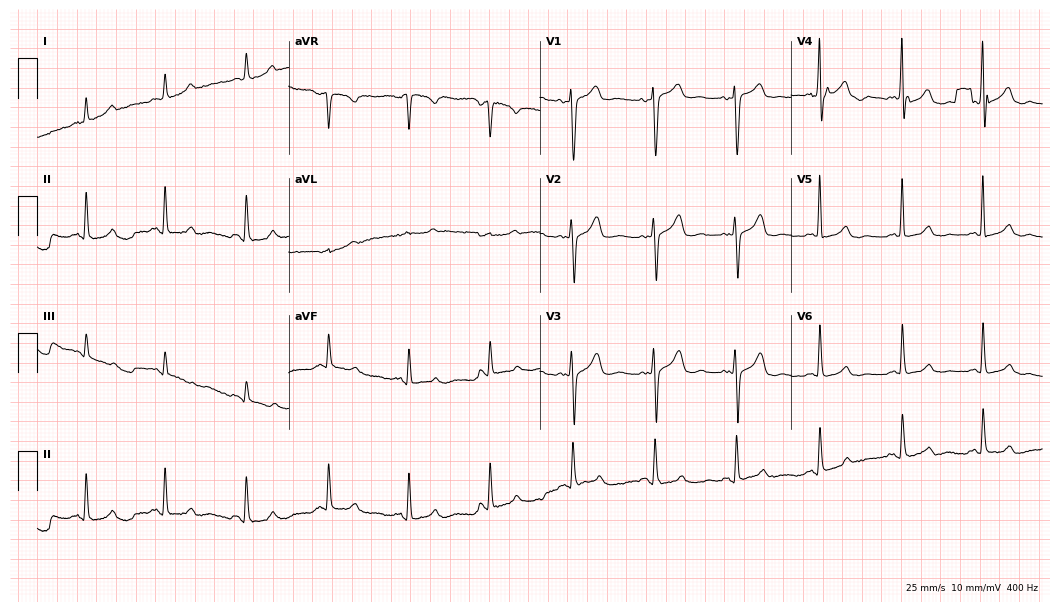
12-lead ECG (10.2-second recording at 400 Hz) from a 61-year-old woman. Screened for six findings — first-degree AV block, right bundle branch block (RBBB), left bundle branch block (LBBB), sinus bradycardia, atrial fibrillation (AF), sinus tachycardia — none is recorded. Only these six findings were labelled.